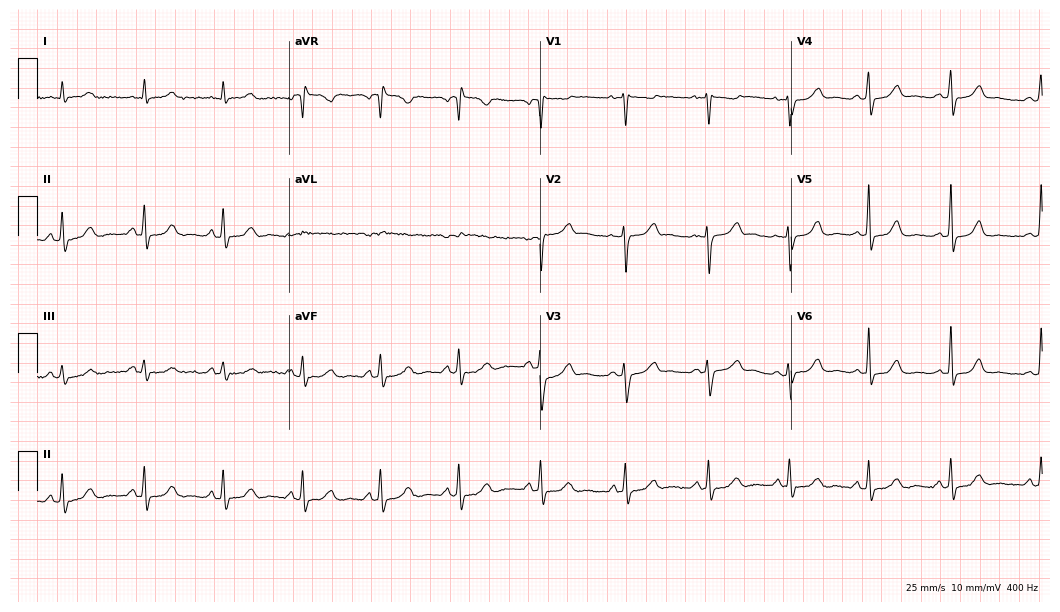
Electrocardiogram, a female, 37 years old. Overall reading on record: normal ECG.